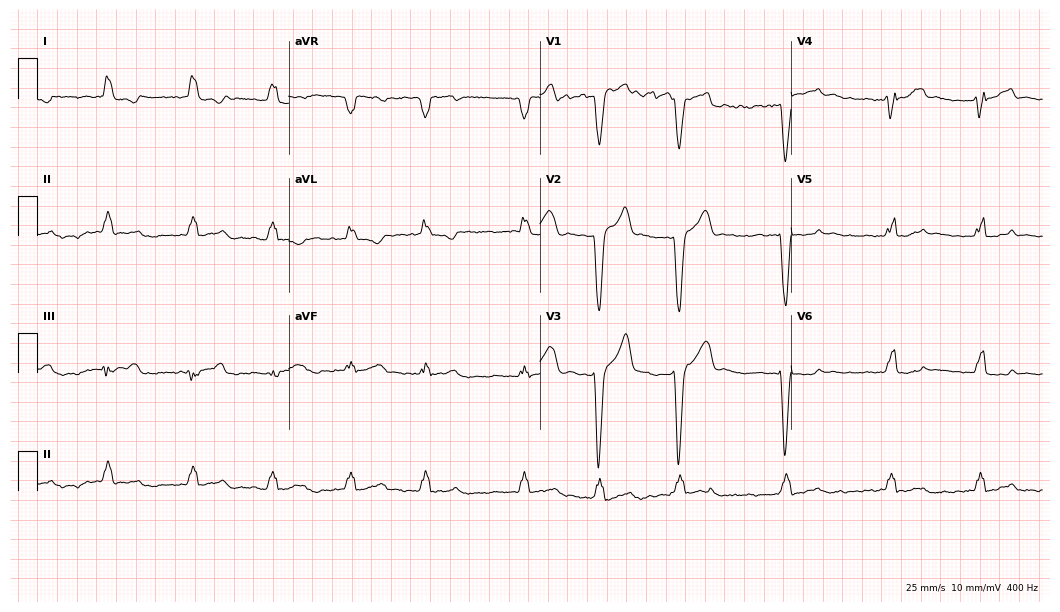
12-lead ECG from a 74-year-old woman (10.2-second recording at 400 Hz). Shows left bundle branch block (LBBB), atrial fibrillation (AF).